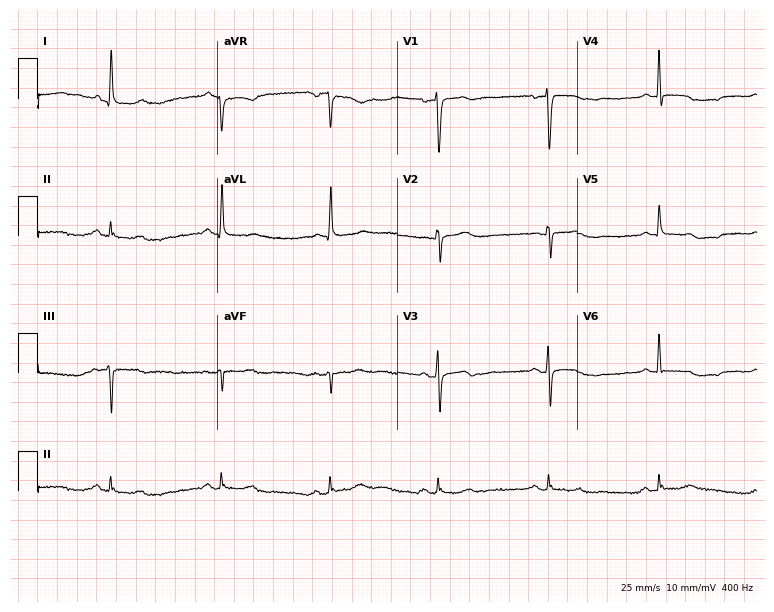
12-lead ECG (7.3-second recording at 400 Hz) from a 74-year-old female. Screened for six findings — first-degree AV block, right bundle branch block, left bundle branch block, sinus bradycardia, atrial fibrillation, sinus tachycardia — none is recorded.